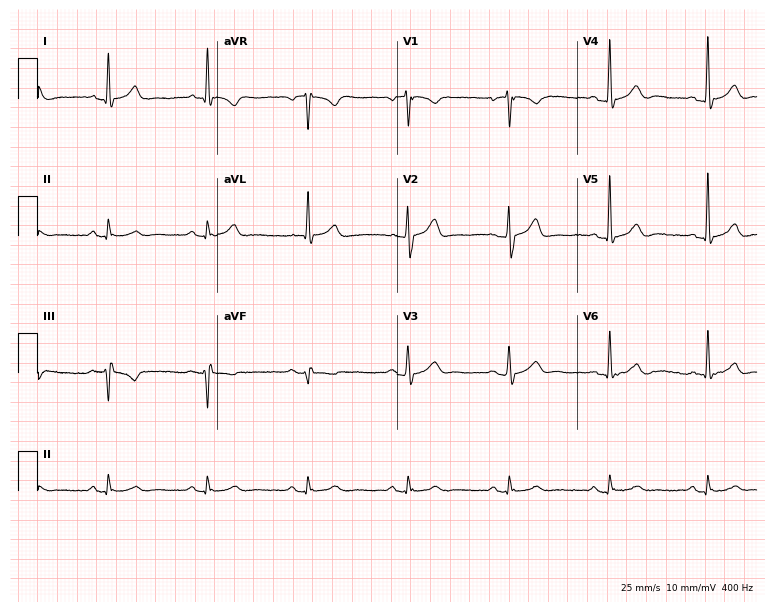
12-lead ECG from a male patient, 46 years old (7.3-second recording at 400 Hz). Recorded interpretation: within normal limits.